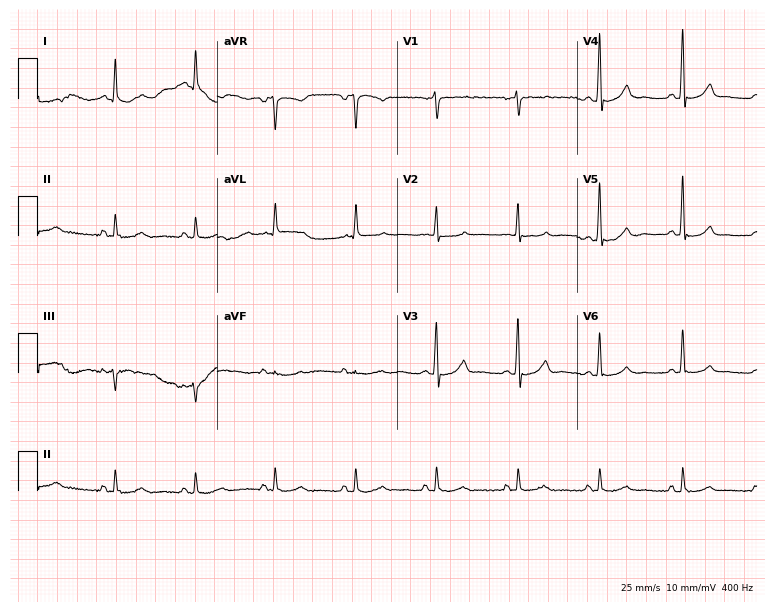
Standard 12-lead ECG recorded from a male patient, 58 years old. Read as a normal ECG.